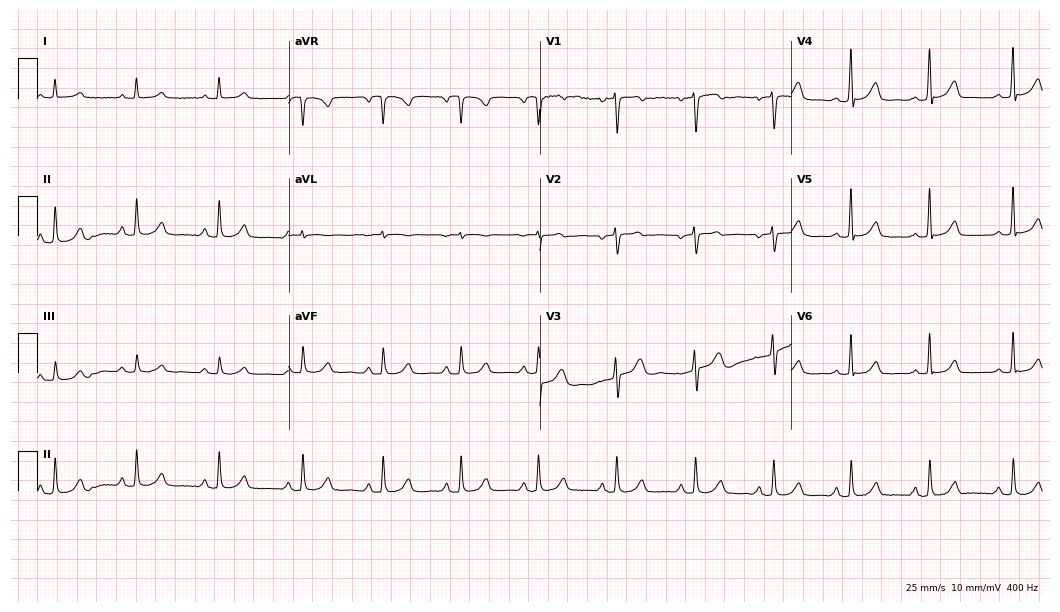
ECG (10.2-second recording at 400 Hz) — a female patient, 33 years old. Screened for six findings — first-degree AV block, right bundle branch block, left bundle branch block, sinus bradycardia, atrial fibrillation, sinus tachycardia — none is recorded.